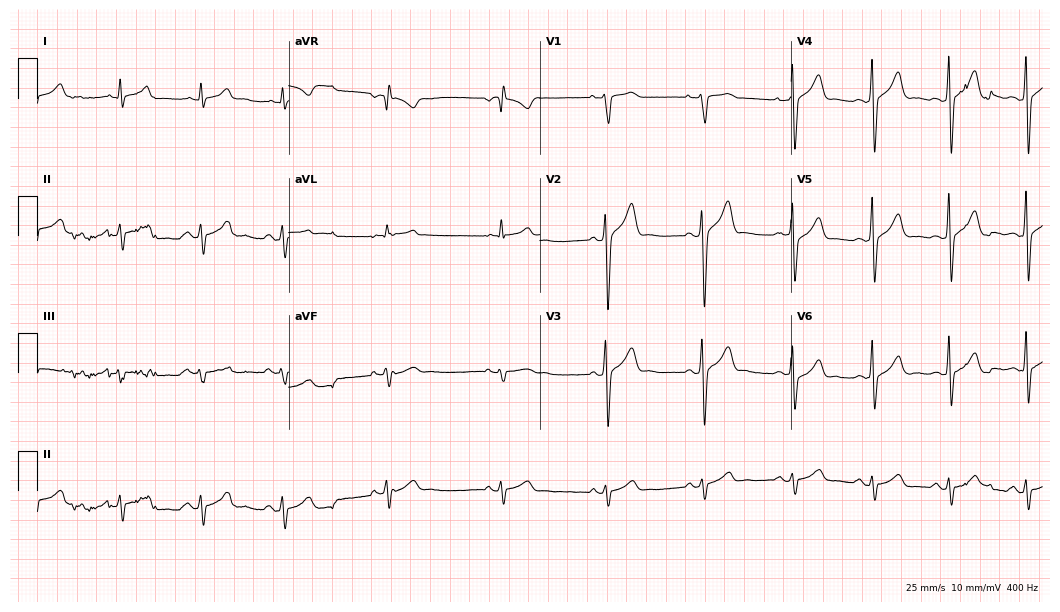
12-lead ECG from a 29-year-old man. Screened for six findings — first-degree AV block, right bundle branch block (RBBB), left bundle branch block (LBBB), sinus bradycardia, atrial fibrillation (AF), sinus tachycardia — none is recorded. Findings outside these six are not listed.